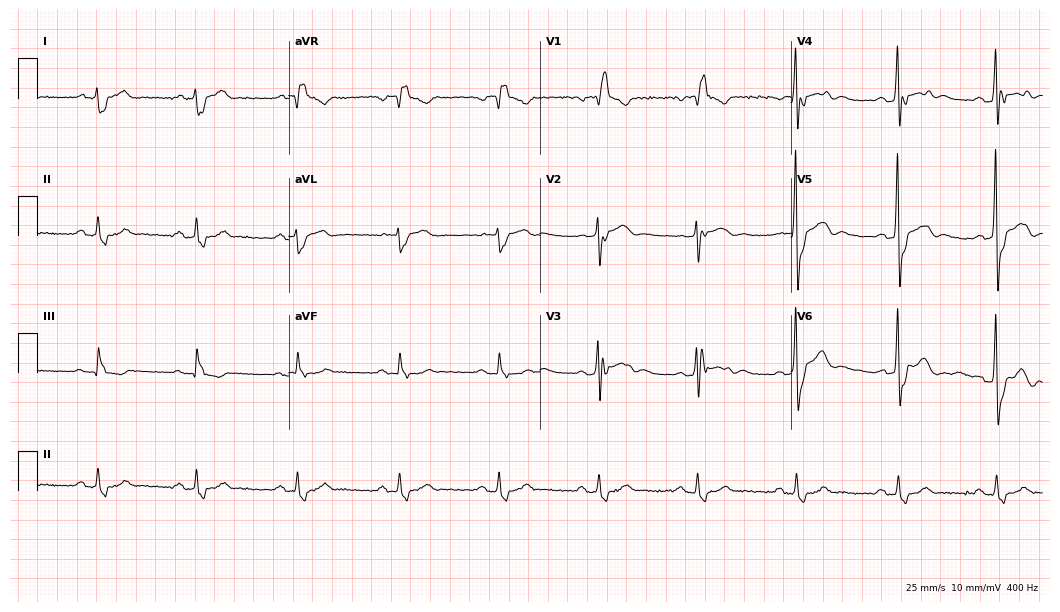
Electrocardiogram (10.2-second recording at 400 Hz), a 63-year-old male patient. Interpretation includes right bundle branch block.